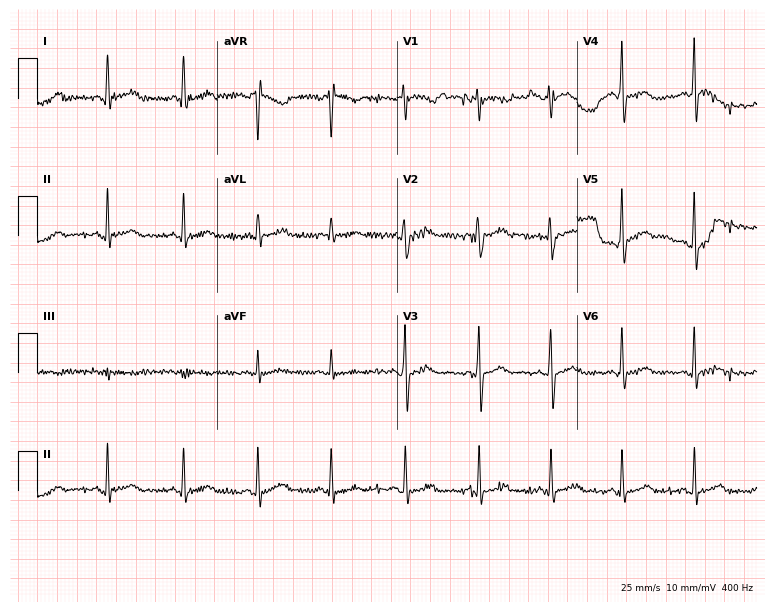
12-lead ECG from a female patient, 56 years old (7.3-second recording at 400 Hz). No first-degree AV block, right bundle branch block, left bundle branch block, sinus bradycardia, atrial fibrillation or sinus tachycardia recorded for this tracing.